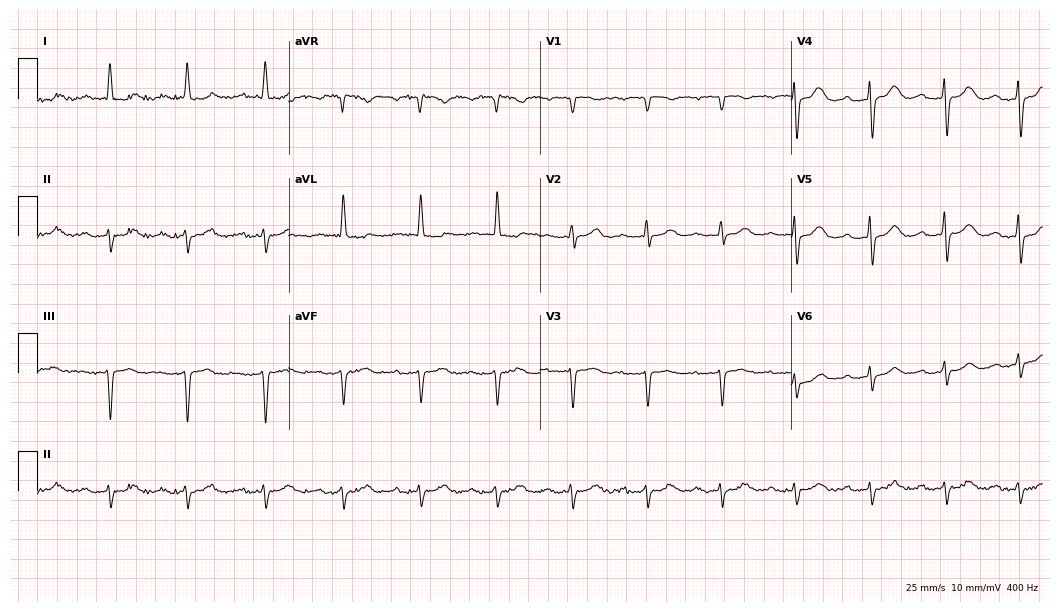
ECG — an 85-year-old female patient. Screened for six findings — first-degree AV block, right bundle branch block, left bundle branch block, sinus bradycardia, atrial fibrillation, sinus tachycardia — none is recorded.